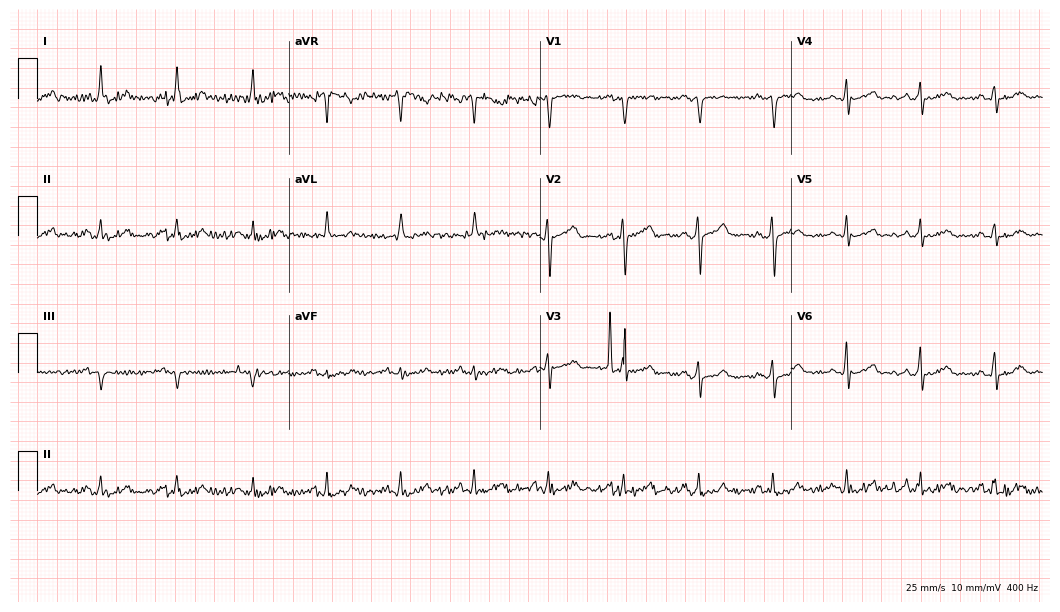
12-lead ECG (10.2-second recording at 400 Hz) from a 46-year-old male. Screened for six findings — first-degree AV block, right bundle branch block (RBBB), left bundle branch block (LBBB), sinus bradycardia, atrial fibrillation (AF), sinus tachycardia — none is recorded.